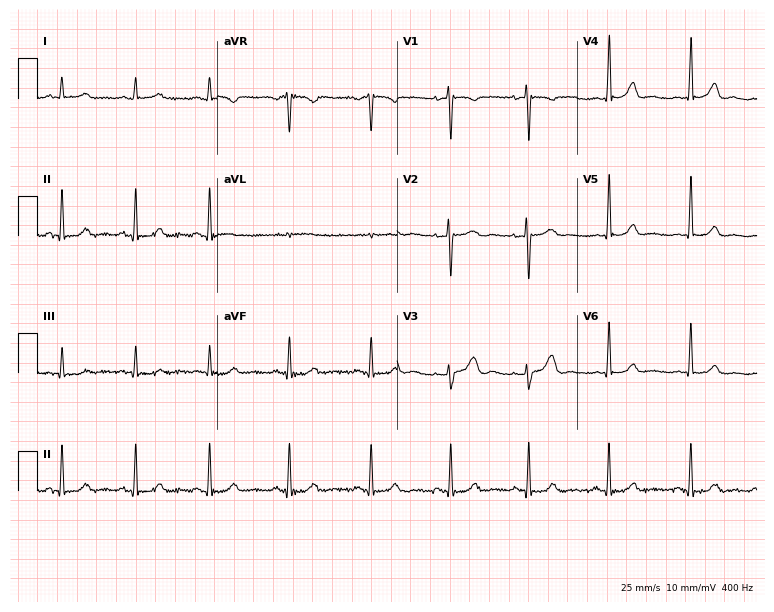
Electrocardiogram (7.3-second recording at 400 Hz), a 26-year-old female patient. Overall reading on record: normal ECG.